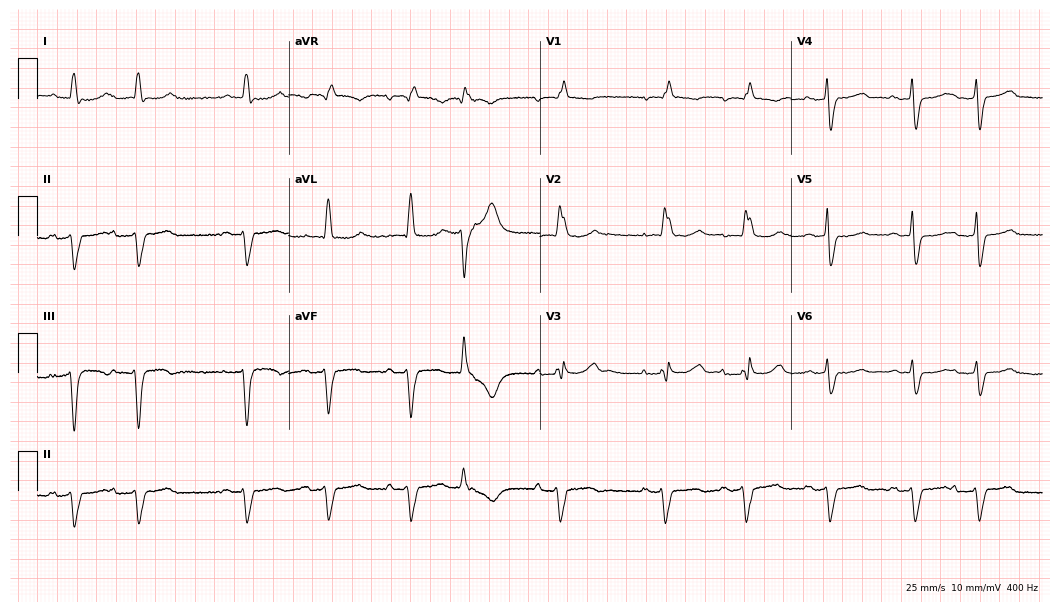
Electrocardiogram, a 74-year-old woman. Of the six screened findings (first-degree AV block, right bundle branch block (RBBB), left bundle branch block (LBBB), sinus bradycardia, atrial fibrillation (AF), sinus tachycardia), none is recorded. Other findings, if any, are not listed.